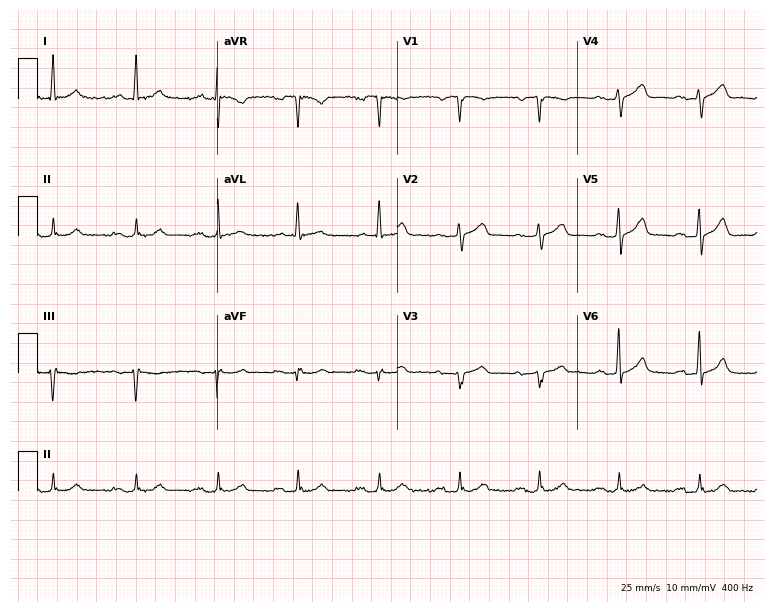
Standard 12-lead ECG recorded from a male patient, 62 years old (7.3-second recording at 400 Hz). The tracing shows first-degree AV block.